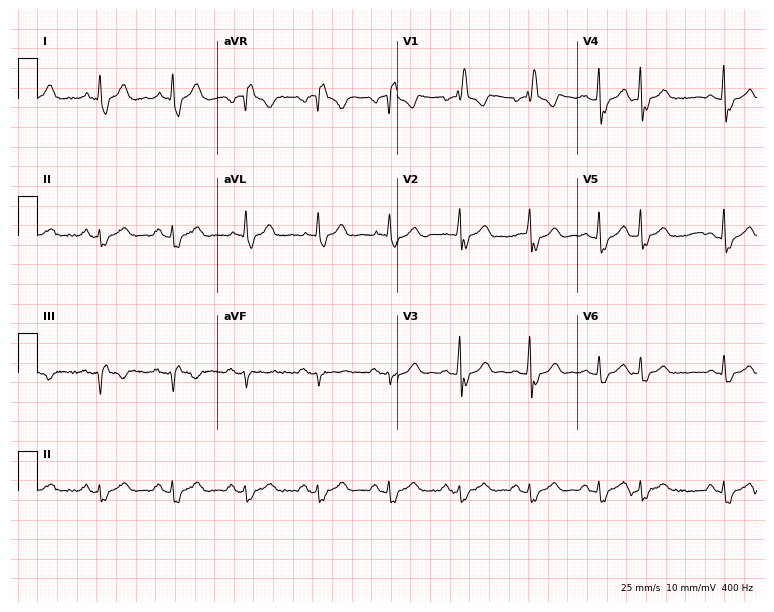
Standard 12-lead ECG recorded from a 67-year-old male (7.3-second recording at 400 Hz). The tracing shows right bundle branch block.